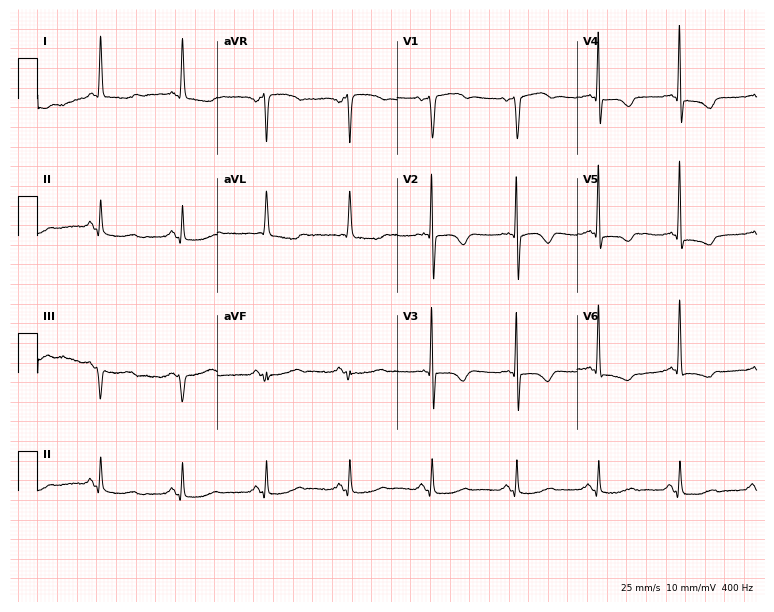
Electrocardiogram (7.3-second recording at 400 Hz), a female patient, 63 years old. Of the six screened findings (first-degree AV block, right bundle branch block (RBBB), left bundle branch block (LBBB), sinus bradycardia, atrial fibrillation (AF), sinus tachycardia), none is recorded.